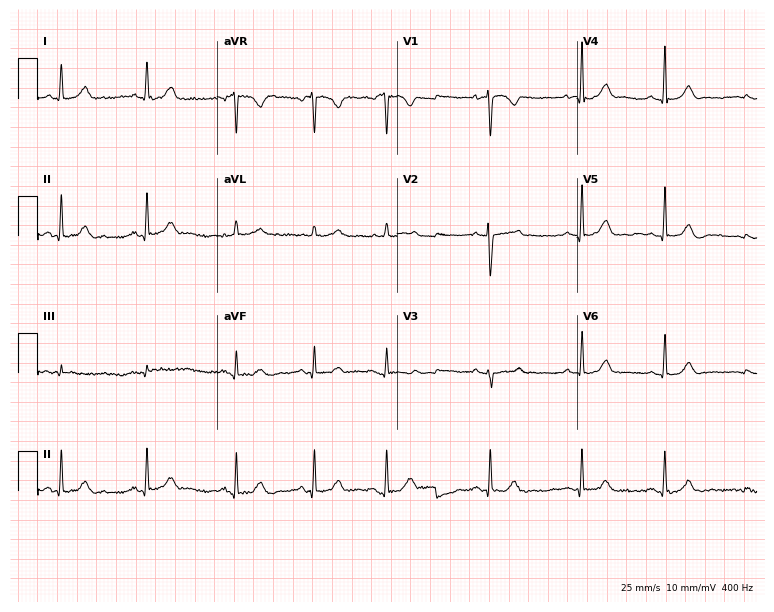
ECG — a woman, 21 years old. Labelled as a normal ECG.